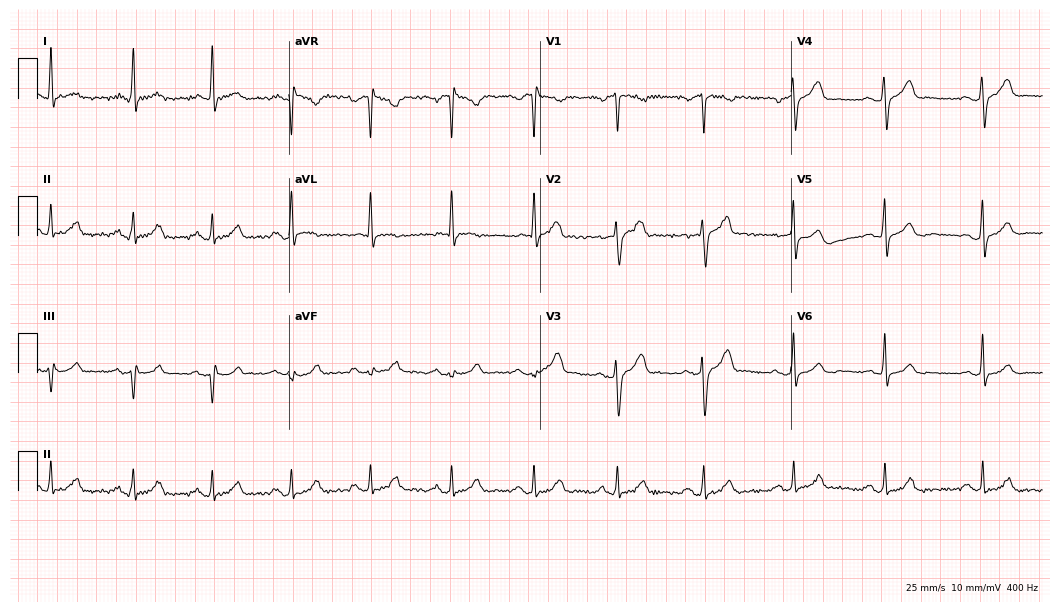
12-lead ECG from a male patient, 57 years old. Recorded interpretation: within normal limits.